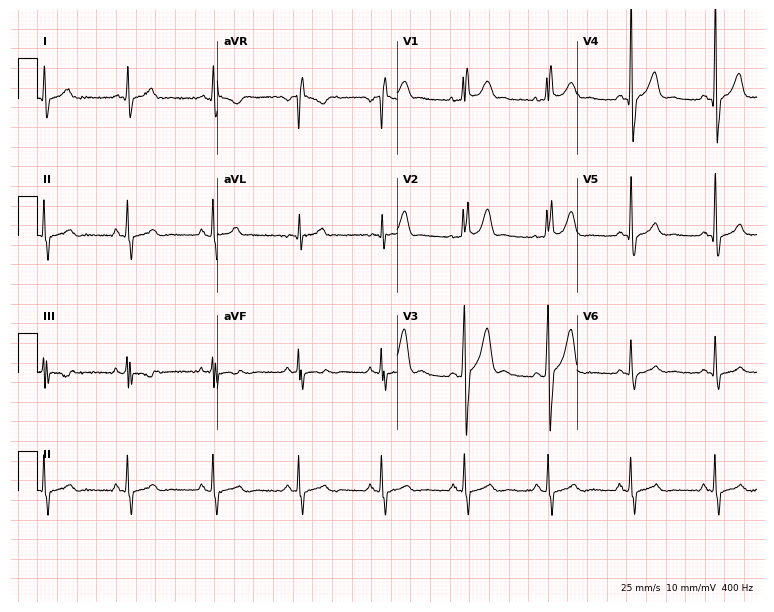
12-lead ECG from a male patient, 23 years old. Screened for six findings — first-degree AV block, right bundle branch block, left bundle branch block, sinus bradycardia, atrial fibrillation, sinus tachycardia — none is recorded. Only these six findings were labelled.